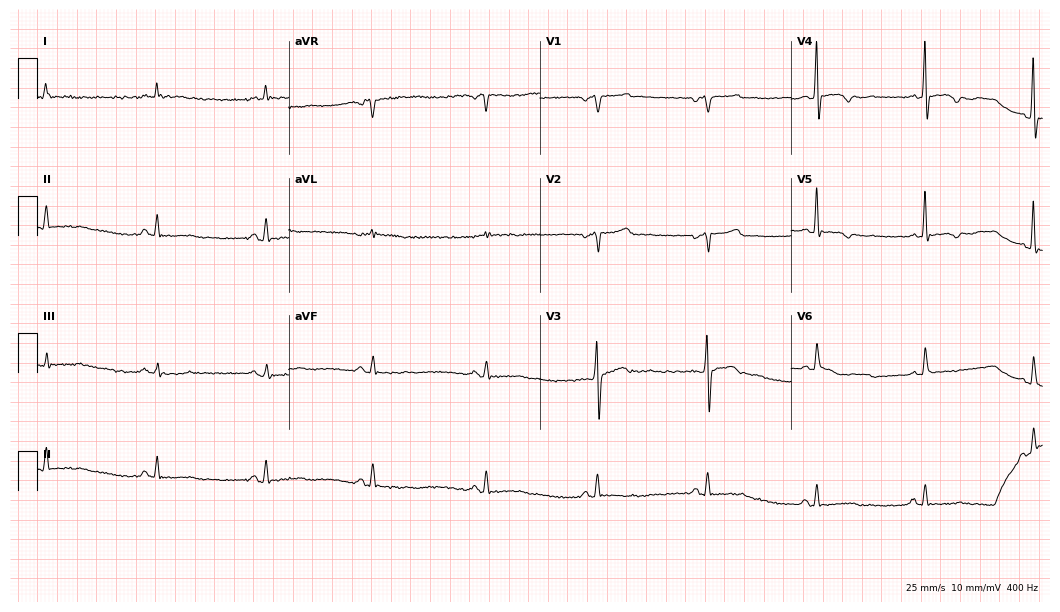
Resting 12-lead electrocardiogram. Patient: a man, 57 years old. None of these six findings is recorded: first-degree AV block, right bundle branch block (RBBB), left bundle branch block (LBBB), sinus bradycardia, atrial fibrillation (AF), sinus tachycardia. Only these six findings were labelled.